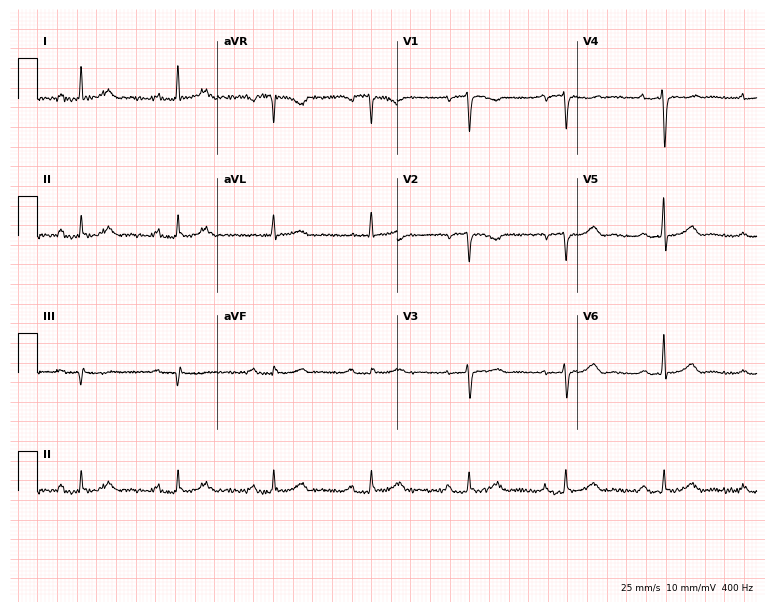
Electrocardiogram, a female, 80 years old. Interpretation includes first-degree AV block.